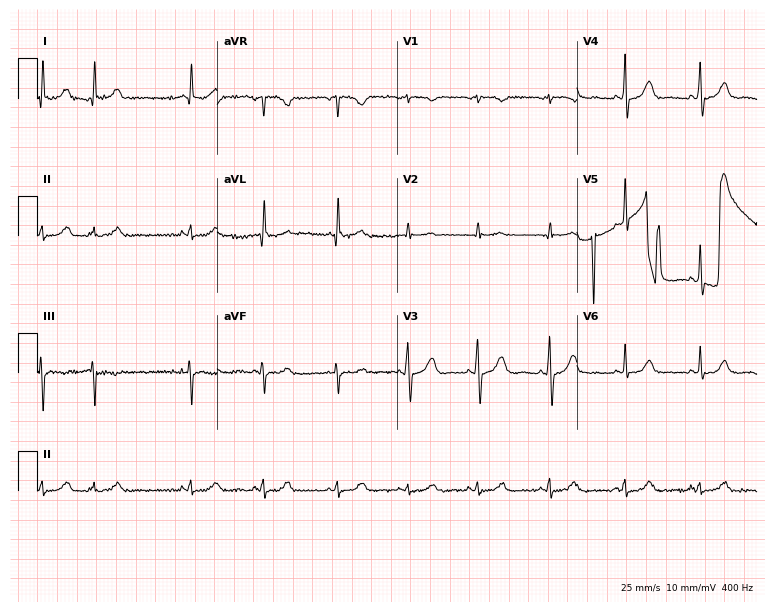
ECG (7.3-second recording at 400 Hz) — a 69-year-old female. Screened for six findings — first-degree AV block, right bundle branch block, left bundle branch block, sinus bradycardia, atrial fibrillation, sinus tachycardia — none is recorded.